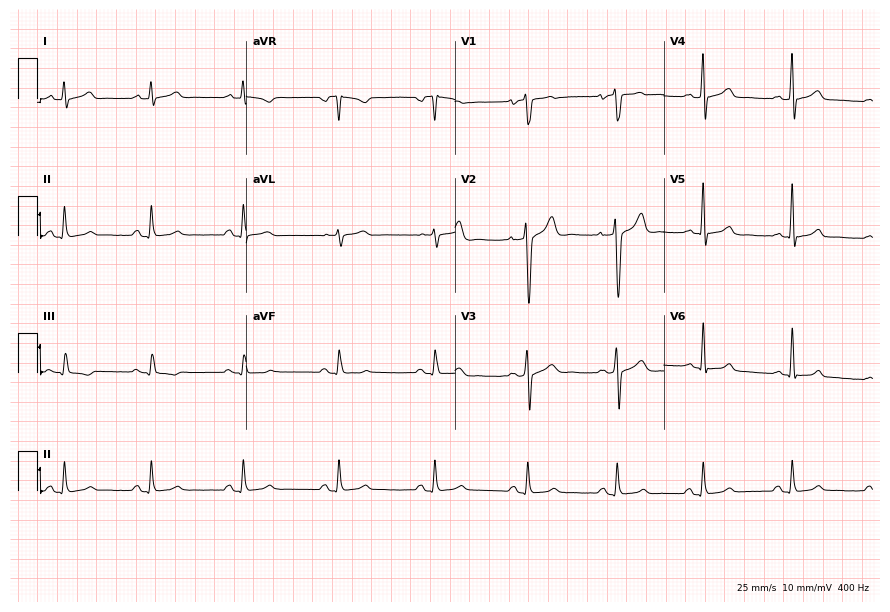
Resting 12-lead electrocardiogram (8.5-second recording at 400 Hz). Patient: a 24-year-old male. None of these six findings is recorded: first-degree AV block, right bundle branch block, left bundle branch block, sinus bradycardia, atrial fibrillation, sinus tachycardia. Other findings, if any, are not listed.